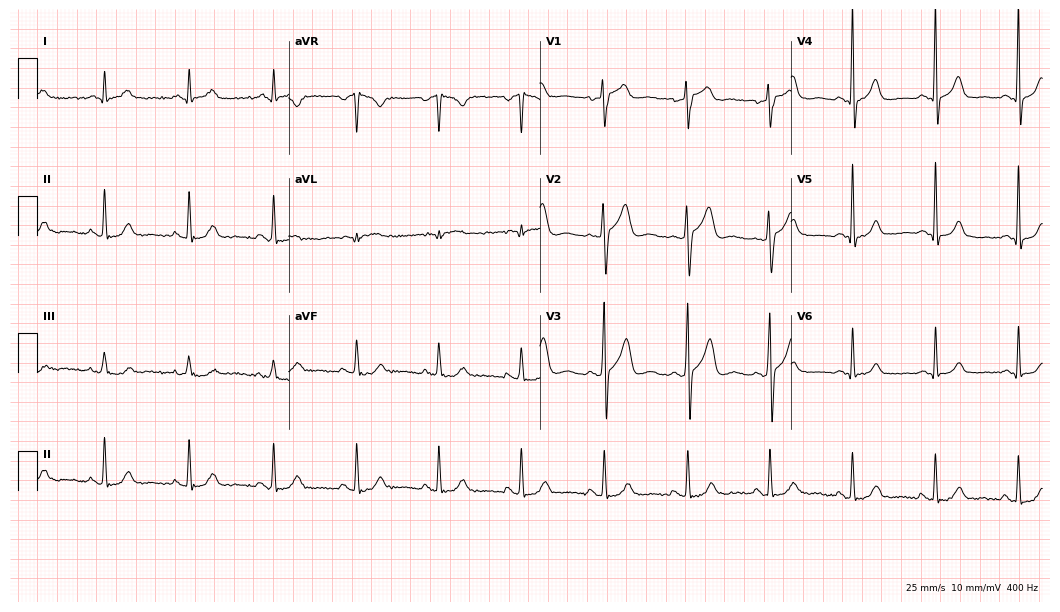
Resting 12-lead electrocardiogram (10.2-second recording at 400 Hz). Patient: a man, 57 years old. None of these six findings is recorded: first-degree AV block, right bundle branch block (RBBB), left bundle branch block (LBBB), sinus bradycardia, atrial fibrillation (AF), sinus tachycardia. Only these six findings were labelled.